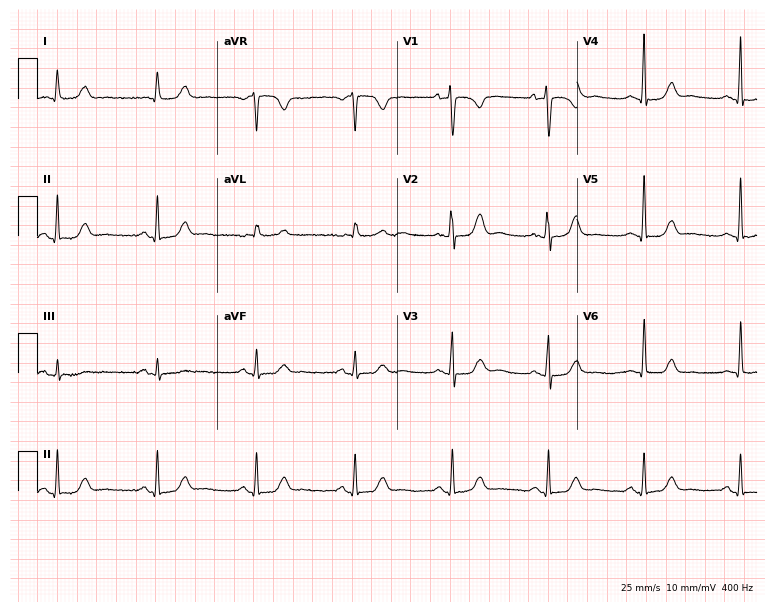
ECG (7.3-second recording at 400 Hz) — a 70-year-old woman. Screened for six findings — first-degree AV block, right bundle branch block, left bundle branch block, sinus bradycardia, atrial fibrillation, sinus tachycardia — none is recorded. Only these six findings were labelled.